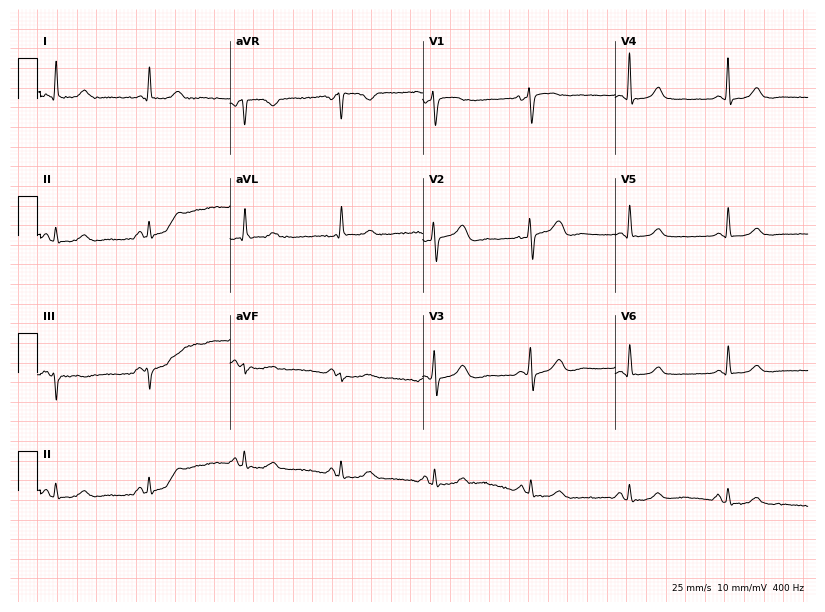
Electrocardiogram (7.9-second recording at 400 Hz), a 62-year-old female. Overall reading on record: normal ECG.